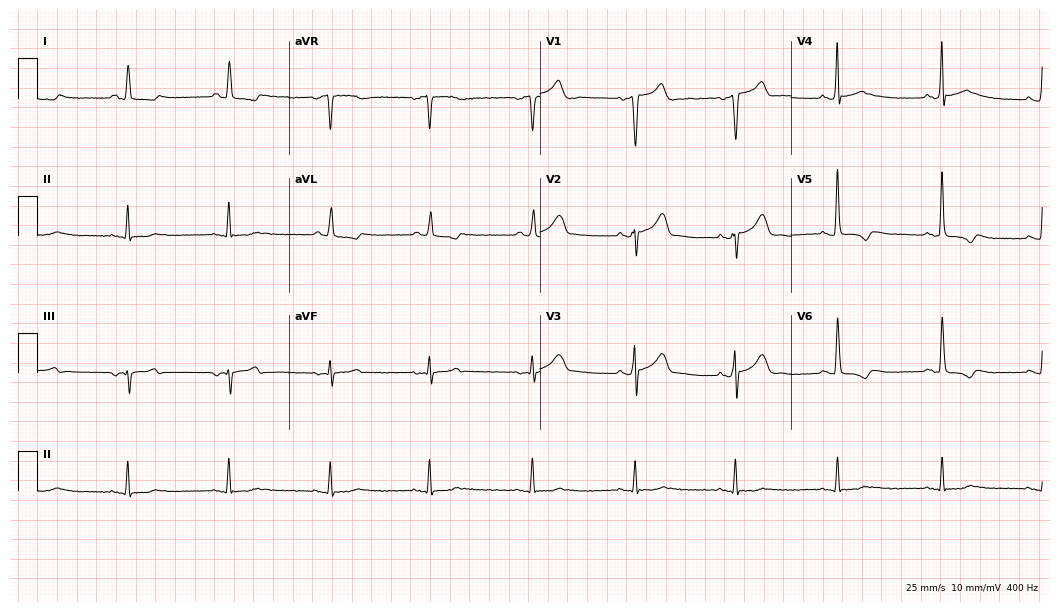
12-lead ECG from a 67-year-old man (10.2-second recording at 400 Hz). No first-degree AV block, right bundle branch block (RBBB), left bundle branch block (LBBB), sinus bradycardia, atrial fibrillation (AF) or sinus tachycardia recorded for this tracing.